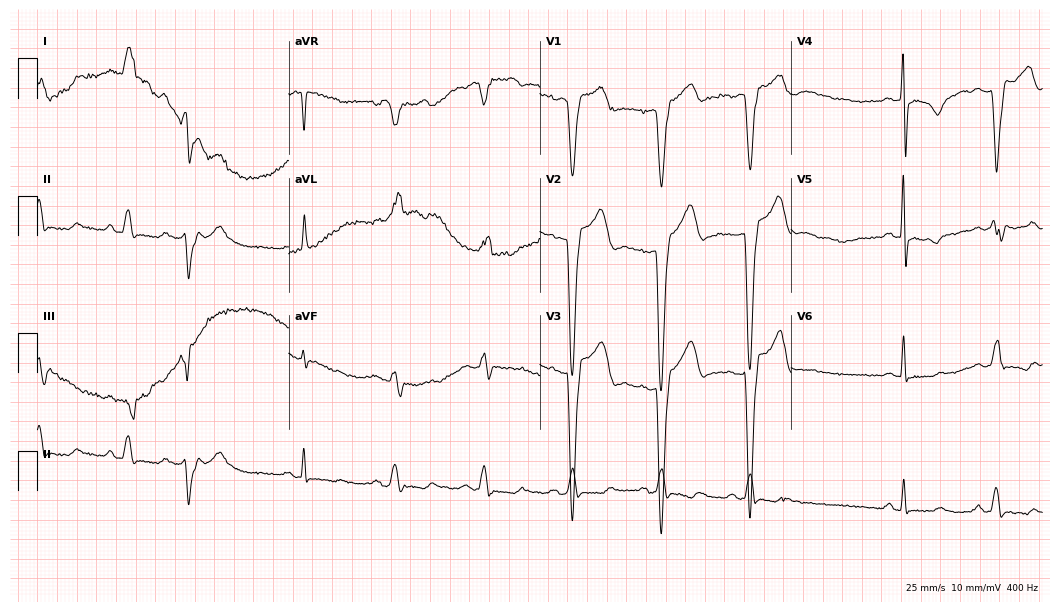
Electrocardiogram (10.2-second recording at 400 Hz), a female patient, 75 years old. Of the six screened findings (first-degree AV block, right bundle branch block, left bundle branch block, sinus bradycardia, atrial fibrillation, sinus tachycardia), none is recorded.